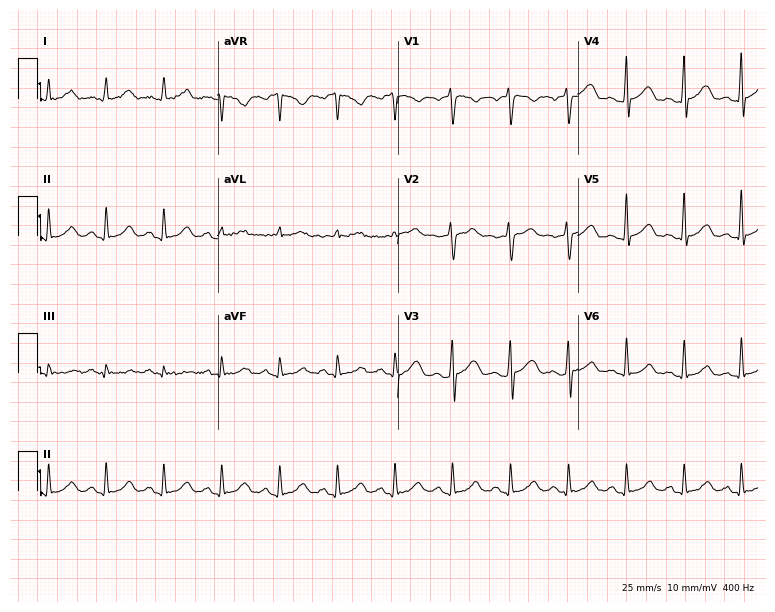
Electrocardiogram (7.3-second recording at 400 Hz), a 39-year-old male patient. Interpretation includes sinus tachycardia (a sinus rate of 100 beats per minute or more).